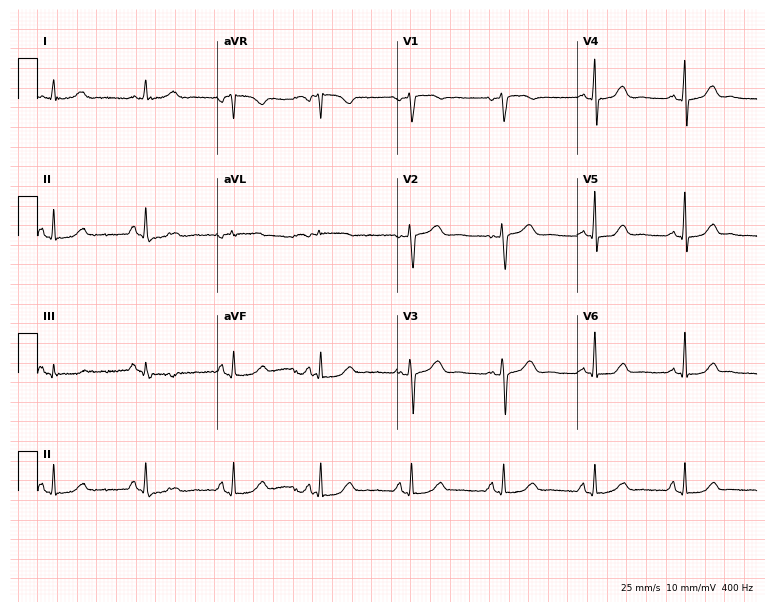
ECG (7.3-second recording at 400 Hz) — a woman, 54 years old. Labelled as a normal ECG.